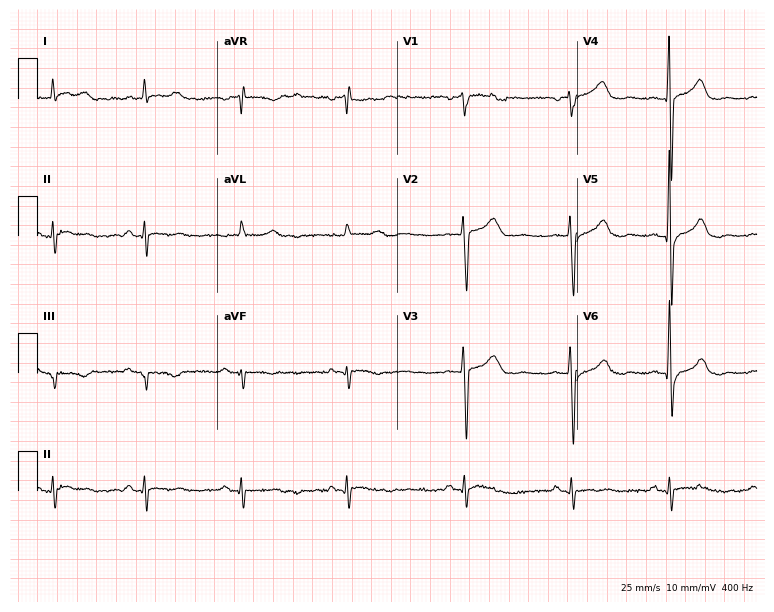
Electrocardiogram, a male, 58 years old. Of the six screened findings (first-degree AV block, right bundle branch block, left bundle branch block, sinus bradycardia, atrial fibrillation, sinus tachycardia), none is recorded.